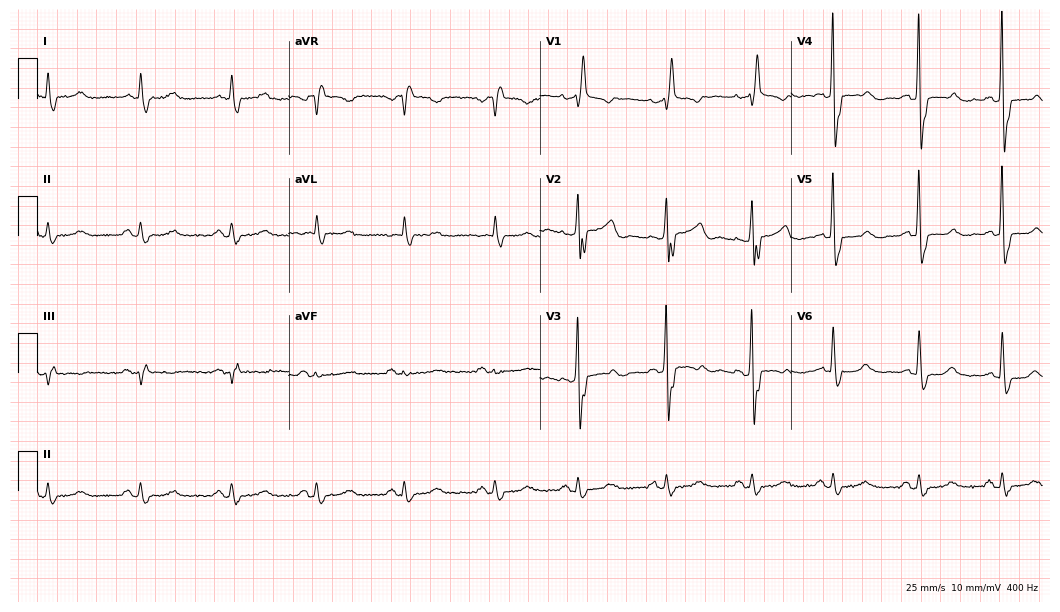
ECG — a man, 79 years old. Screened for six findings — first-degree AV block, right bundle branch block (RBBB), left bundle branch block (LBBB), sinus bradycardia, atrial fibrillation (AF), sinus tachycardia — none is recorded. Only these six findings were labelled.